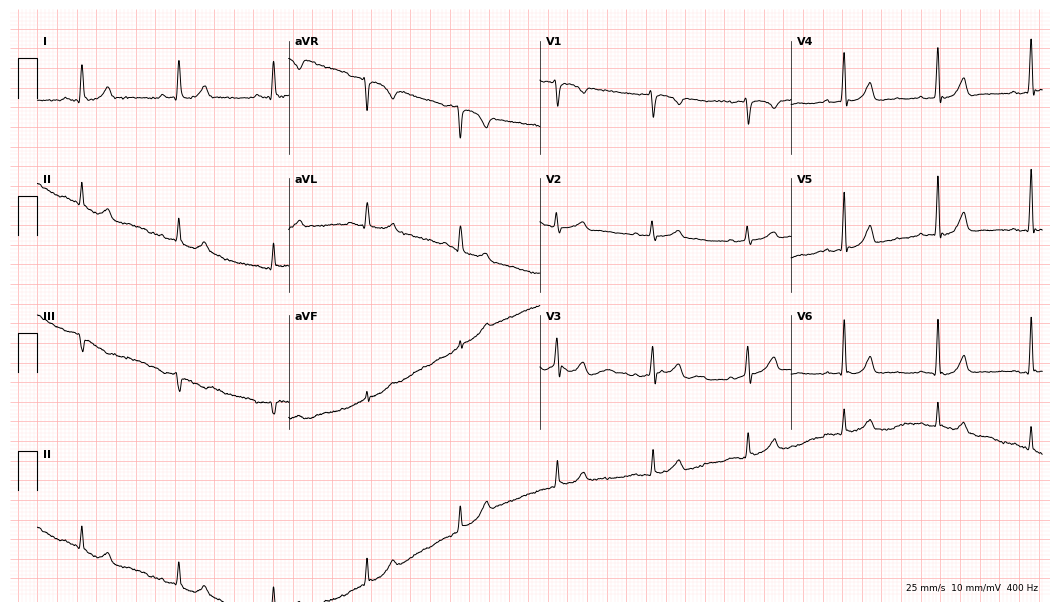
Electrocardiogram, a 73-year-old male. Overall reading on record: normal ECG.